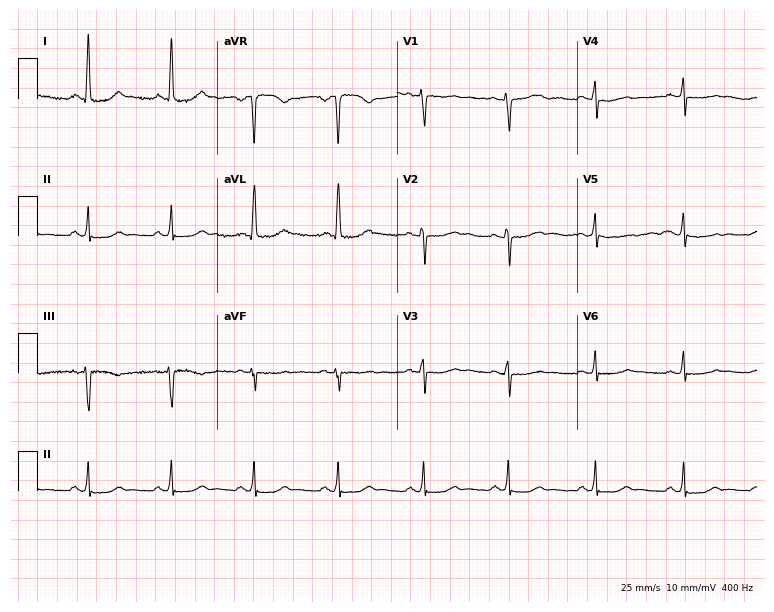
Resting 12-lead electrocardiogram. Patient: a female, 41 years old. None of these six findings is recorded: first-degree AV block, right bundle branch block, left bundle branch block, sinus bradycardia, atrial fibrillation, sinus tachycardia. Findings outside these six are not listed.